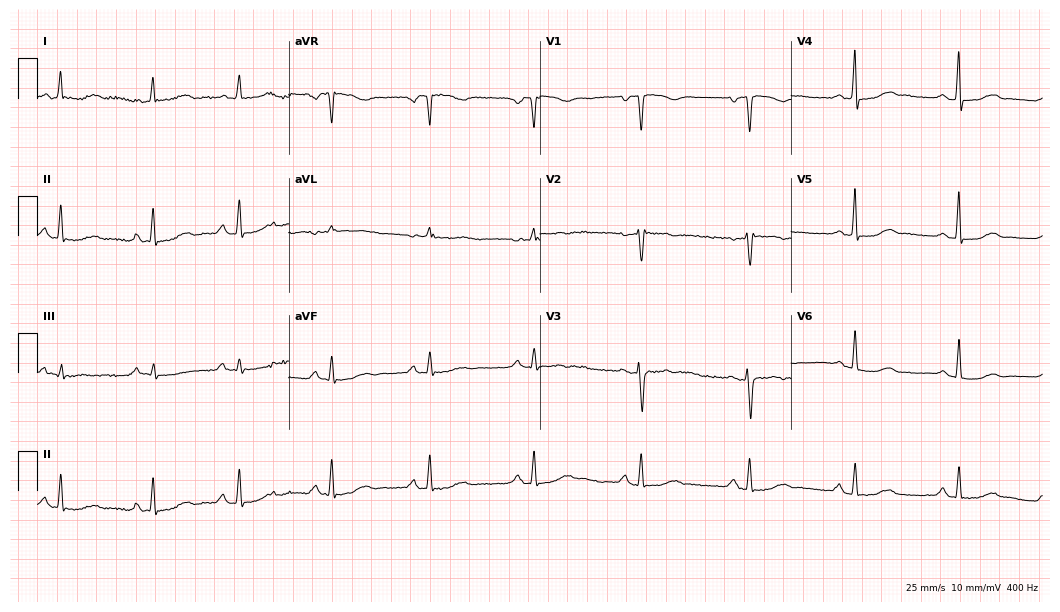
Electrocardiogram (10.2-second recording at 400 Hz), a 45-year-old female patient. Overall reading on record: normal ECG.